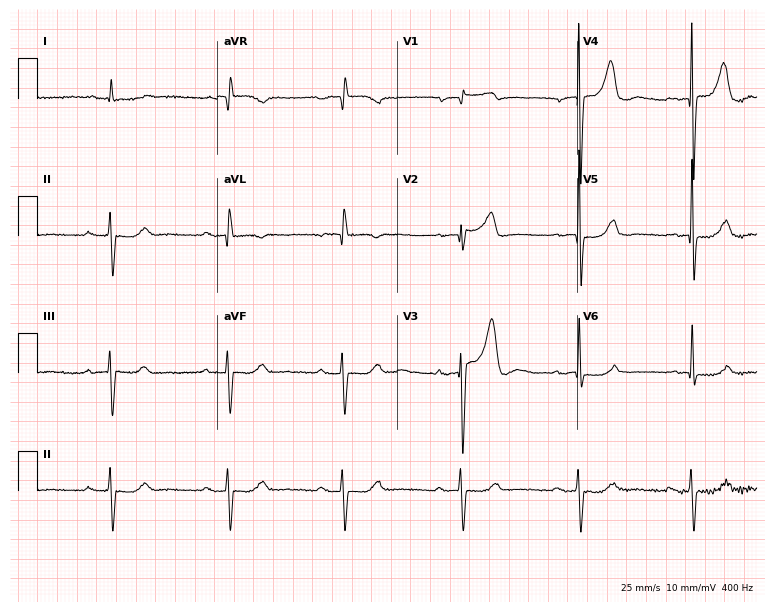
Resting 12-lead electrocardiogram (7.3-second recording at 400 Hz). Patient: a man, 81 years old. The tracing shows first-degree AV block.